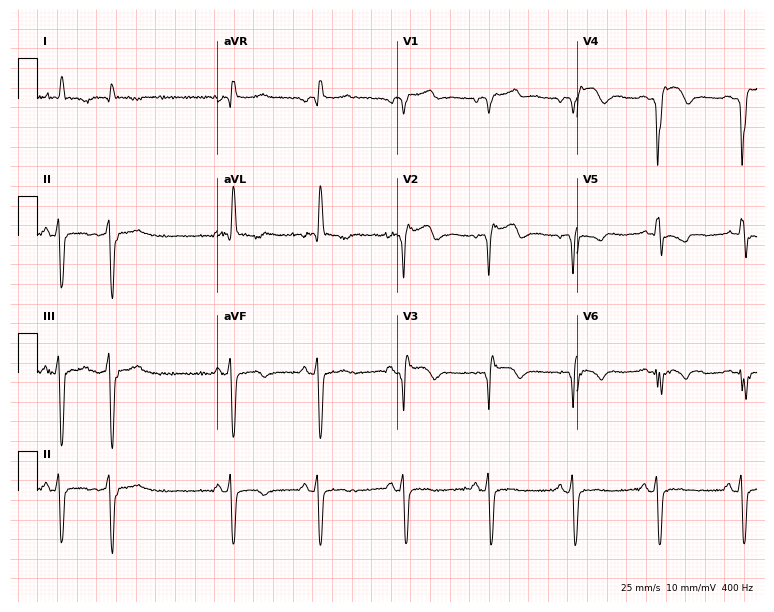
12-lead ECG from a male, 84 years old. Shows right bundle branch block.